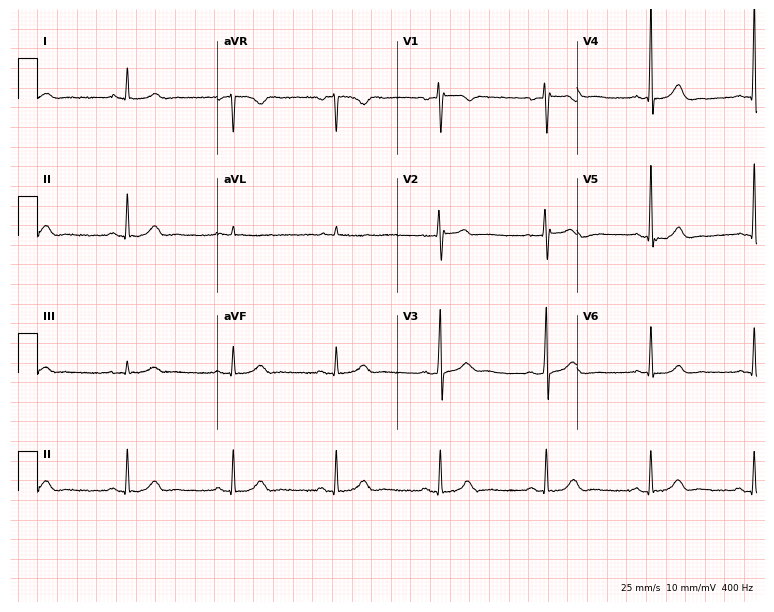
Resting 12-lead electrocardiogram (7.3-second recording at 400 Hz). Patient: a 54-year-old male. Read as a normal ECG.